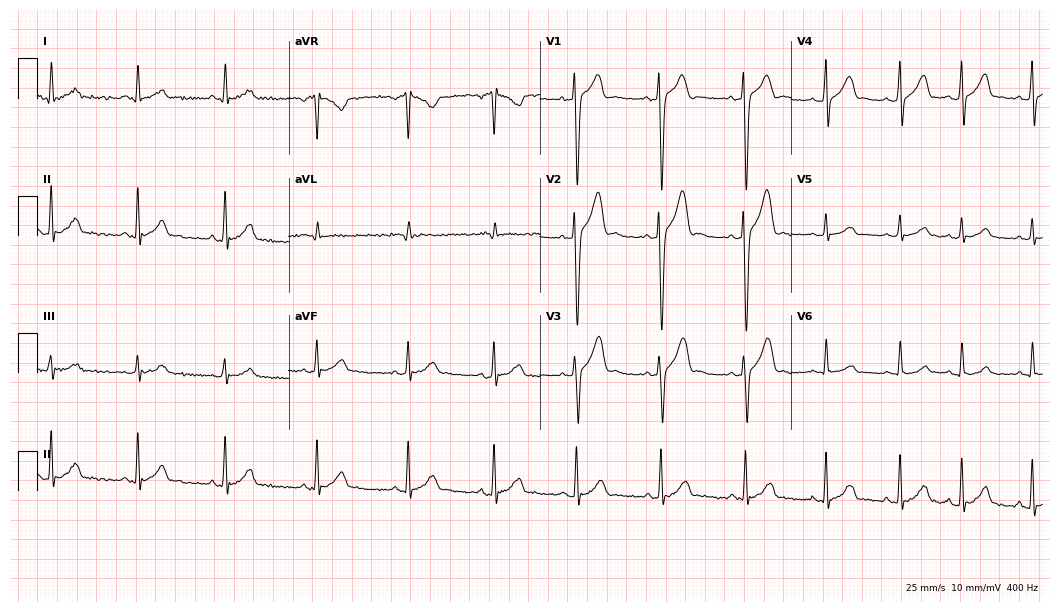
Resting 12-lead electrocardiogram. Patient: a 30-year-old male. Read as a normal ECG.